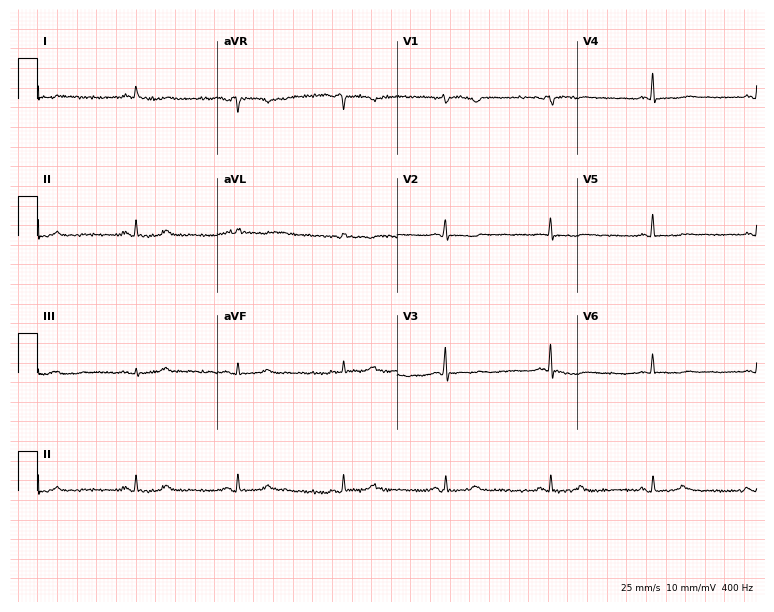
12-lead ECG from a 76-year-old female. Screened for six findings — first-degree AV block, right bundle branch block, left bundle branch block, sinus bradycardia, atrial fibrillation, sinus tachycardia — none is recorded.